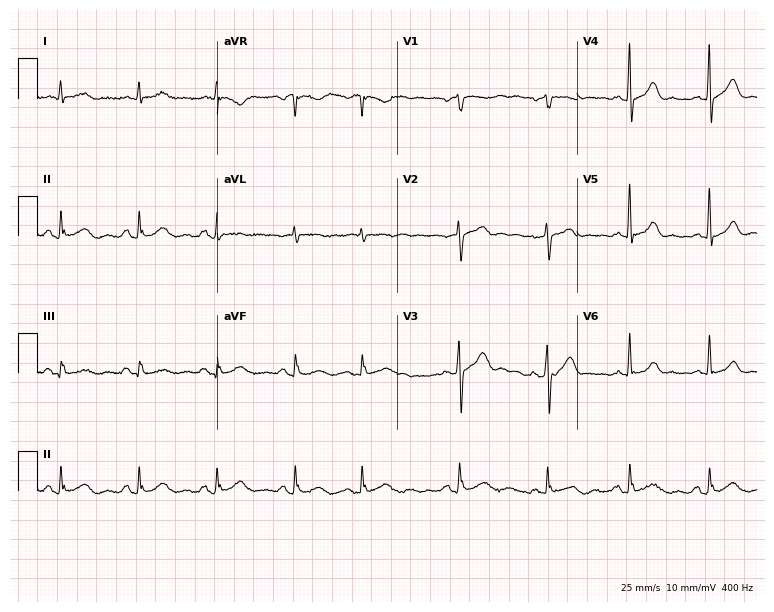
Electrocardiogram, a 79-year-old man. Overall reading on record: normal ECG.